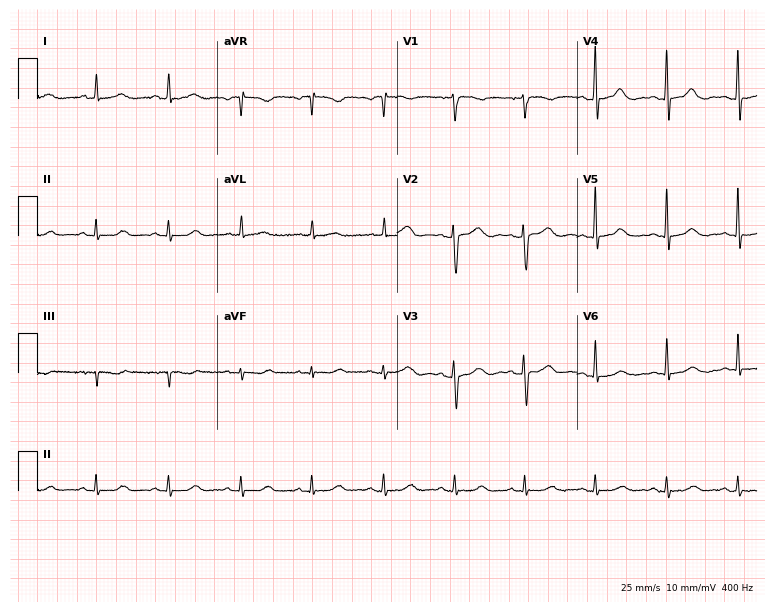
Electrocardiogram (7.3-second recording at 400 Hz), a female patient, 82 years old. Overall reading on record: normal ECG.